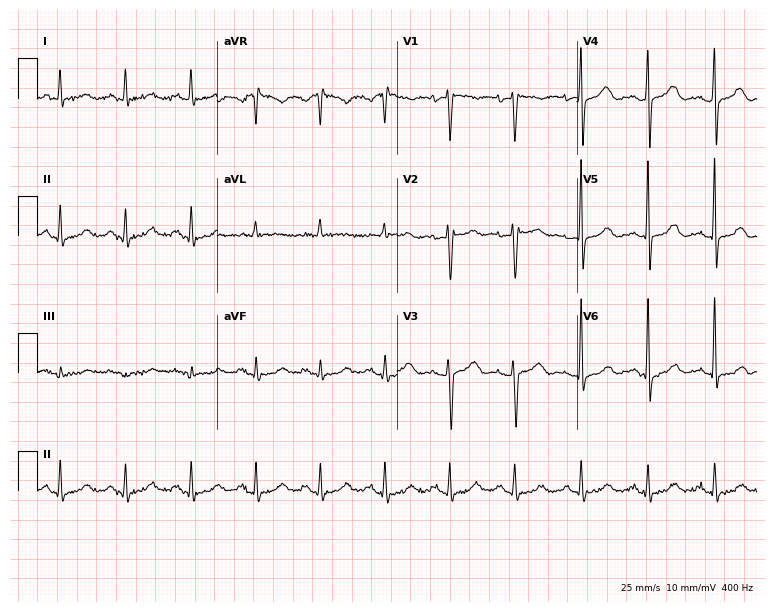
Electrocardiogram (7.3-second recording at 400 Hz), a woman, 66 years old. Of the six screened findings (first-degree AV block, right bundle branch block, left bundle branch block, sinus bradycardia, atrial fibrillation, sinus tachycardia), none is recorded. Findings outside these six are not listed.